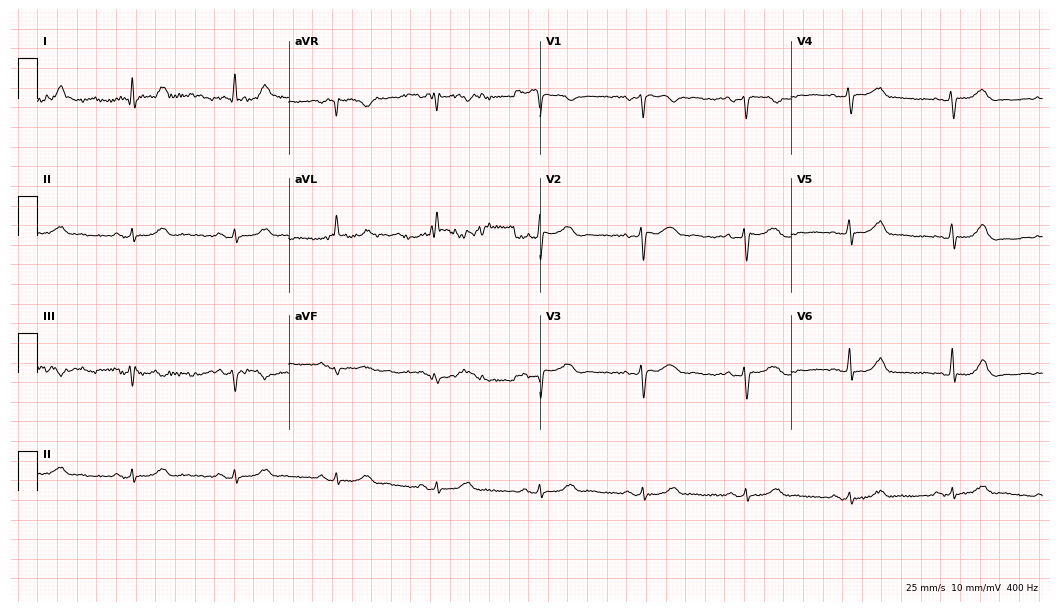
12-lead ECG from a 75-year-old female. Labelled as a normal ECG.